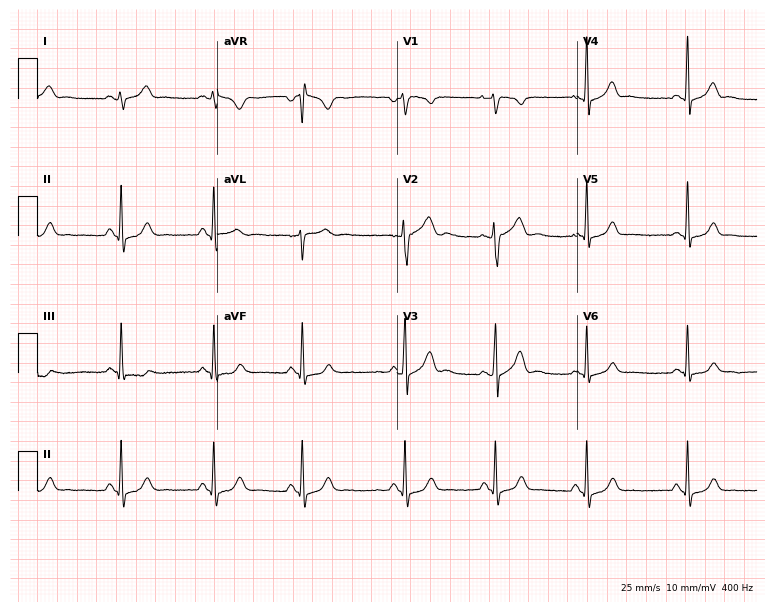
12-lead ECG (7.3-second recording at 400 Hz) from a 34-year-old male patient. Labelled as a normal ECG.